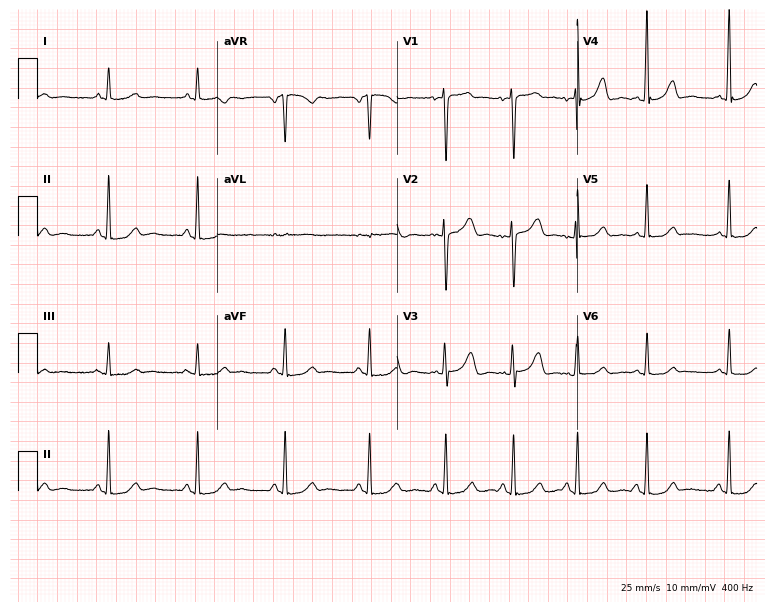
Electrocardiogram (7.3-second recording at 400 Hz), a female patient, 39 years old. Overall reading on record: normal ECG.